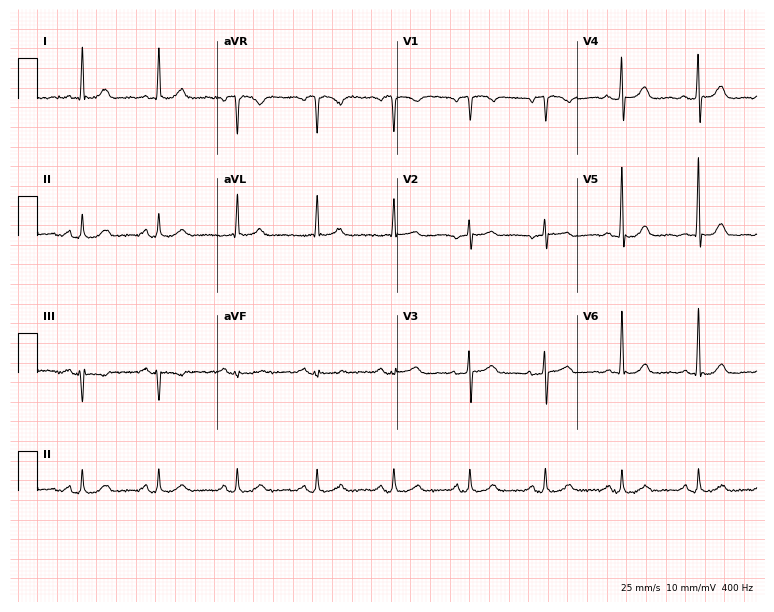
Standard 12-lead ECG recorded from a woman, 70 years old (7.3-second recording at 400 Hz). Read as a normal ECG.